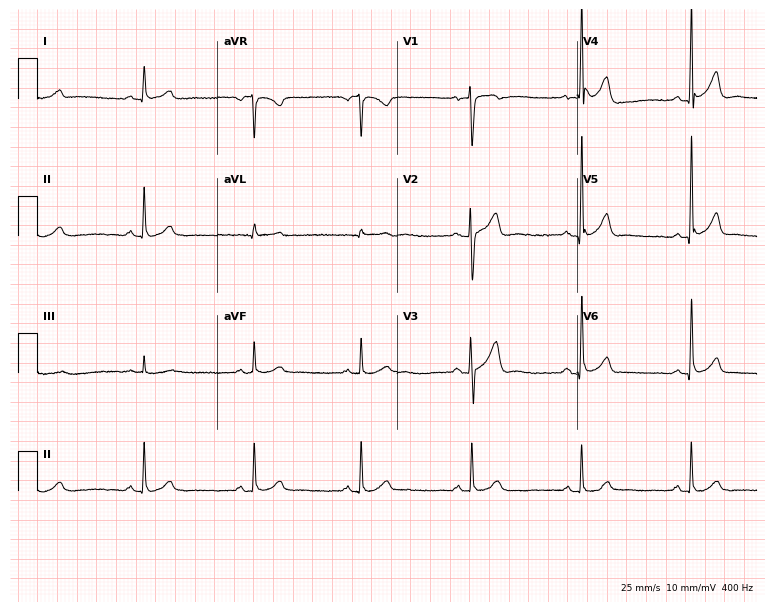
12-lead ECG from a man, 52 years old (7.3-second recording at 400 Hz). Recorded interpretation: within normal limits.